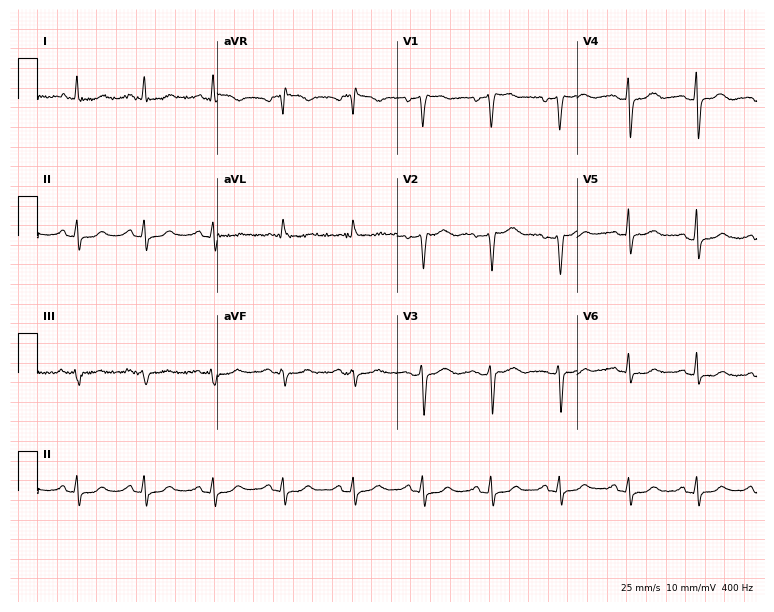
Standard 12-lead ECG recorded from a female patient, 56 years old. Read as a normal ECG.